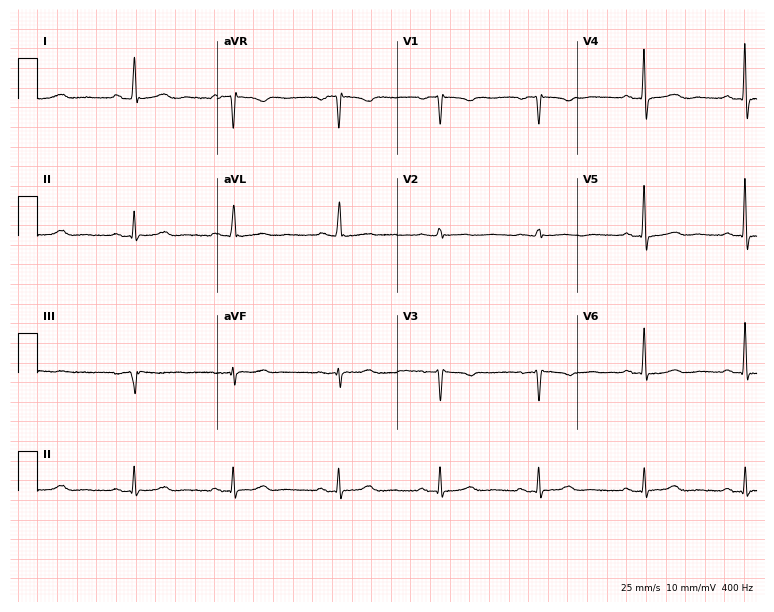
Electrocardiogram, a female, 43 years old. Of the six screened findings (first-degree AV block, right bundle branch block (RBBB), left bundle branch block (LBBB), sinus bradycardia, atrial fibrillation (AF), sinus tachycardia), none is recorded. Other findings, if any, are not listed.